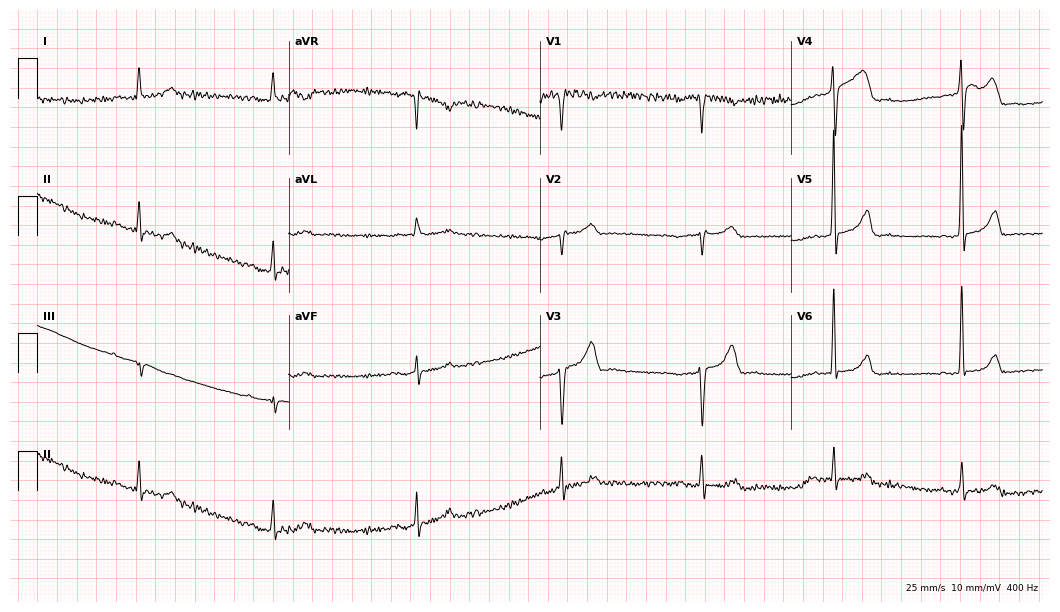
12-lead ECG (10.2-second recording at 400 Hz) from a man, 70 years old. Screened for six findings — first-degree AV block, right bundle branch block (RBBB), left bundle branch block (LBBB), sinus bradycardia, atrial fibrillation (AF), sinus tachycardia — none is recorded.